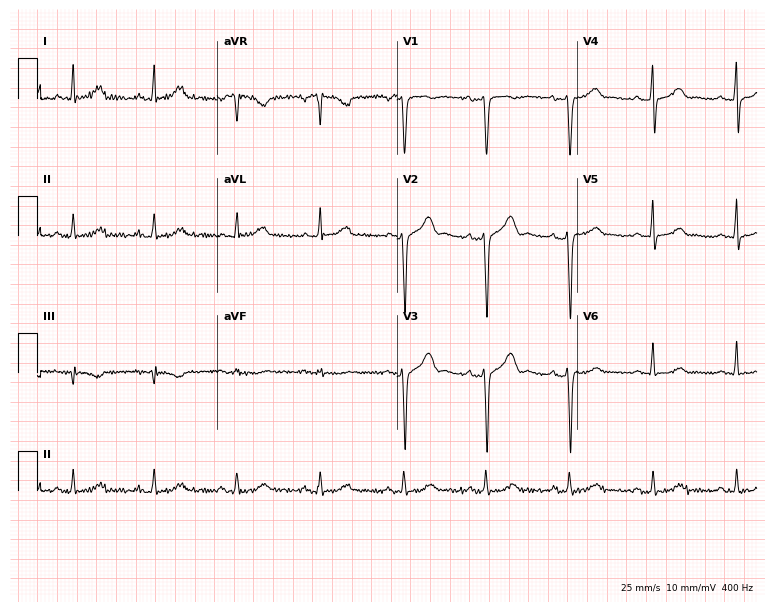
12-lead ECG from a 52-year-old female patient (7.3-second recording at 400 Hz). Recorded interpretation: within normal limits.